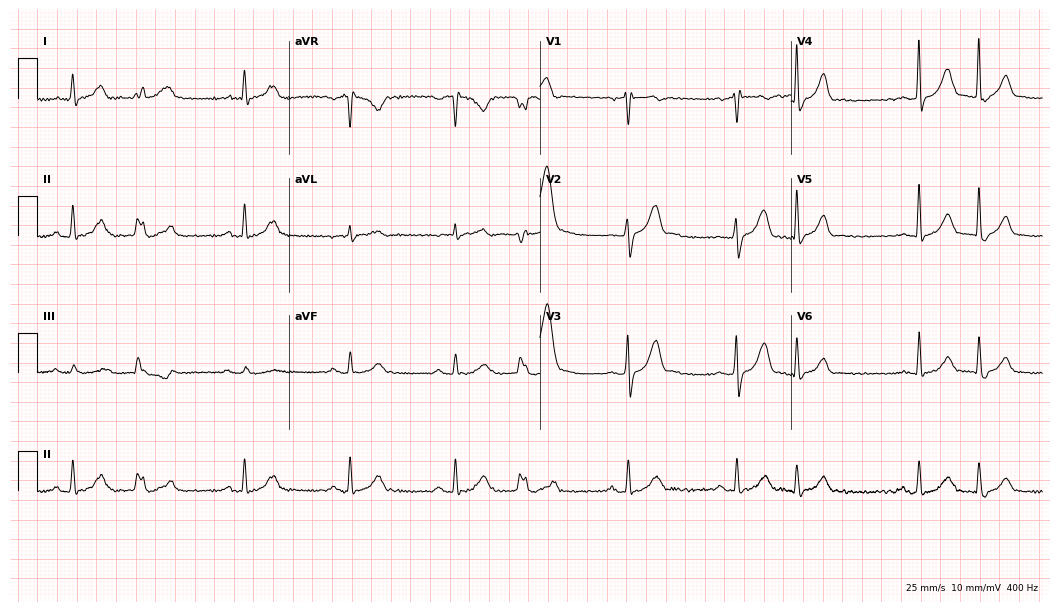
Standard 12-lead ECG recorded from a male patient, 73 years old (10.2-second recording at 400 Hz). None of these six findings is recorded: first-degree AV block, right bundle branch block, left bundle branch block, sinus bradycardia, atrial fibrillation, sinus tachycardia.